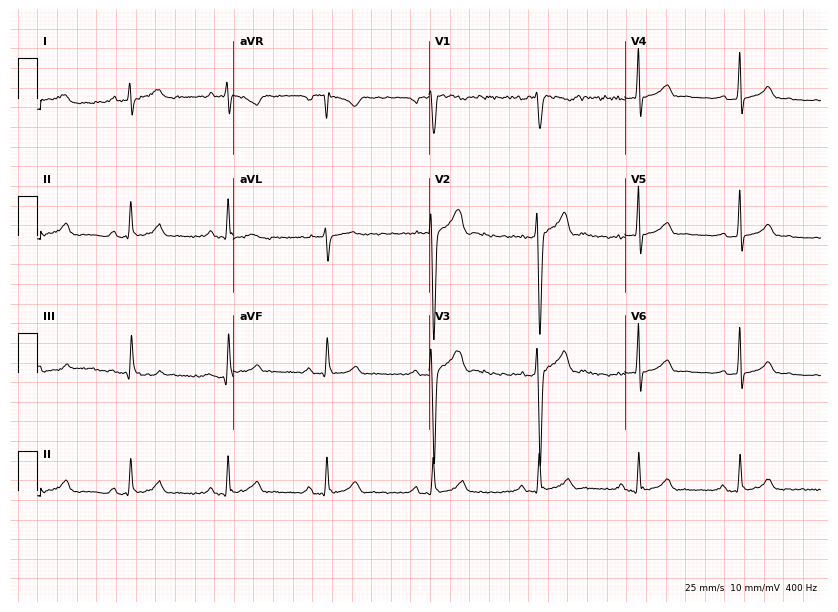
Standard 12-lead ECG recorded from a male patient, 33 years old (8-second recording at 400 Hz). None of these six findings is recorded: first-degree AV block, right bundle branch block, left bundle branch block, sinus bradycardia, atrial fibrillation, sinus tachycardia.